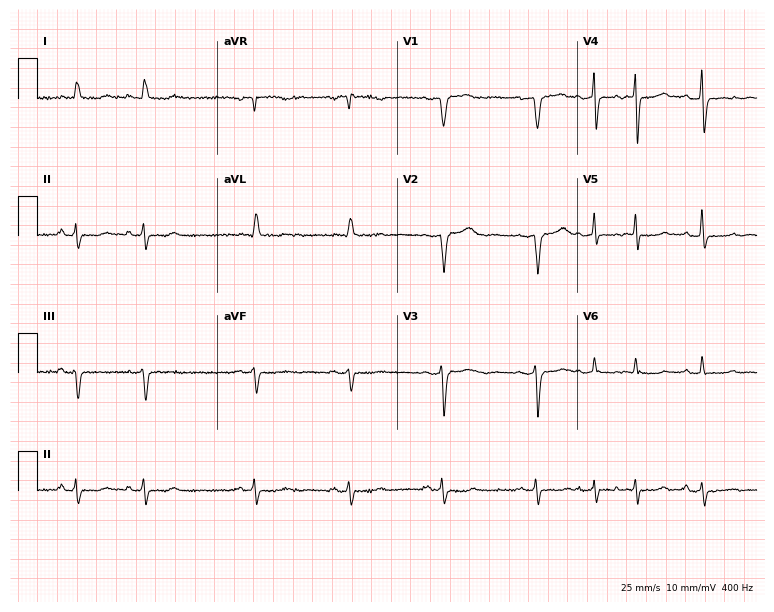
12-lead ECG from a woman, 70 years old. No first-degree AV block, right bundle branch block, left bundle branch block, sinus bradycardia, atrial fibrillation or sinus tachycardia recorded for this tracing. Other findings, if any, are not listed.